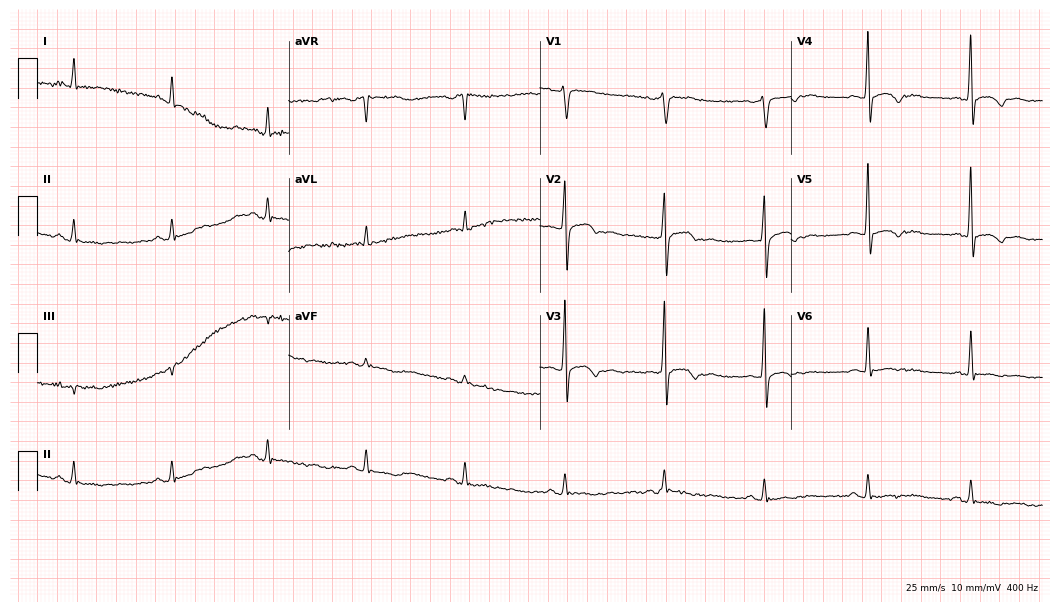
12-lead ECG from a male, 59 years old. Screened for six findings — first-degree AV block, right bundle branch block, left bundle branch block, sinus bradycardia, atrial fibrillation, sinus tachycardia — none is recorded. Only these six findings were labelled.